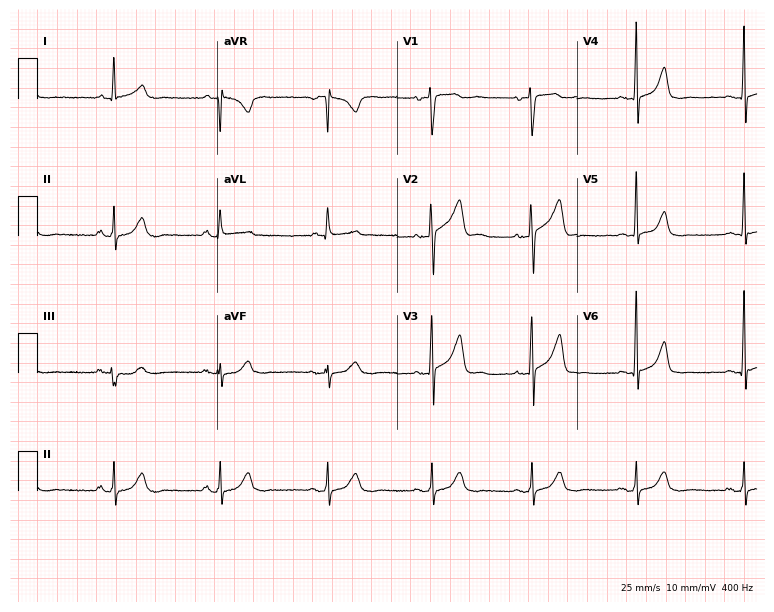
Standard 12-lead ECG recorded from a female, 62 years old (7.3-second recording at 400 Hz). Read as a normal ECG.